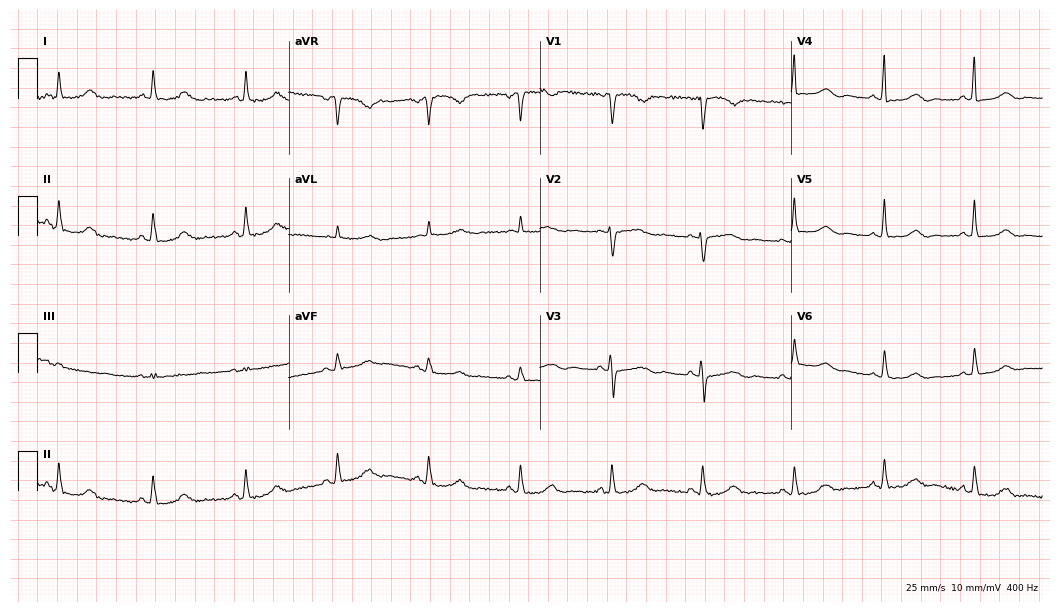
Resting 12-lead electrocardiogram. Patient: a woman, 73 years old. None of these six findings is recorded: first-degree AV block, right bundle branch block, left bundle branch block, sinus bradycardia, atrial fibrillation, sinus tachycardia.